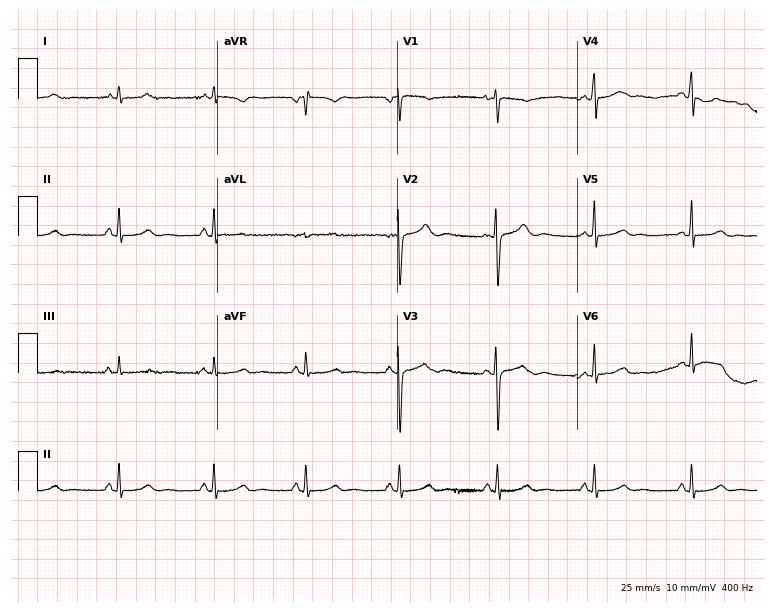
12-lead ECG from a 23-year-old female patient. Screened for six findings — first-degree AV block, right bundle branch block, left bundle branch block, sinus bradycardia, atrial fibrillation, sinus tachycardia — none is recorded.